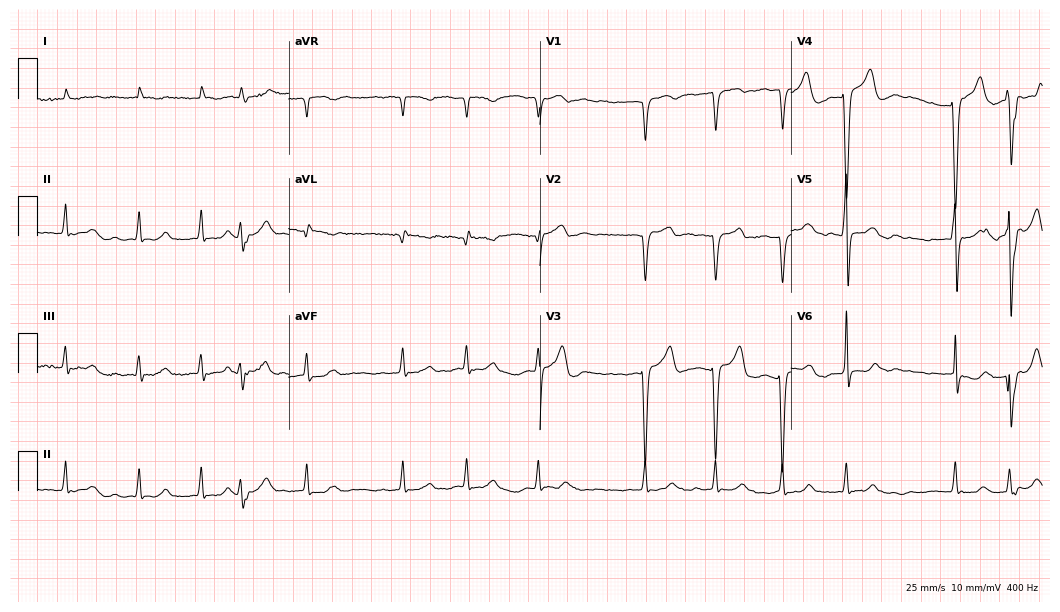
Resting 12-lead electrocardiogram (10.2-second recording at 400 Hz). Patient: an 84-year-old male. None of these six findings is recorded: first-degree AV block, right bundle branch block, left bundle branch block, sinus bradycardia, atrial fibrillation, sinus tachycardia. Findings outside these six are not listed.